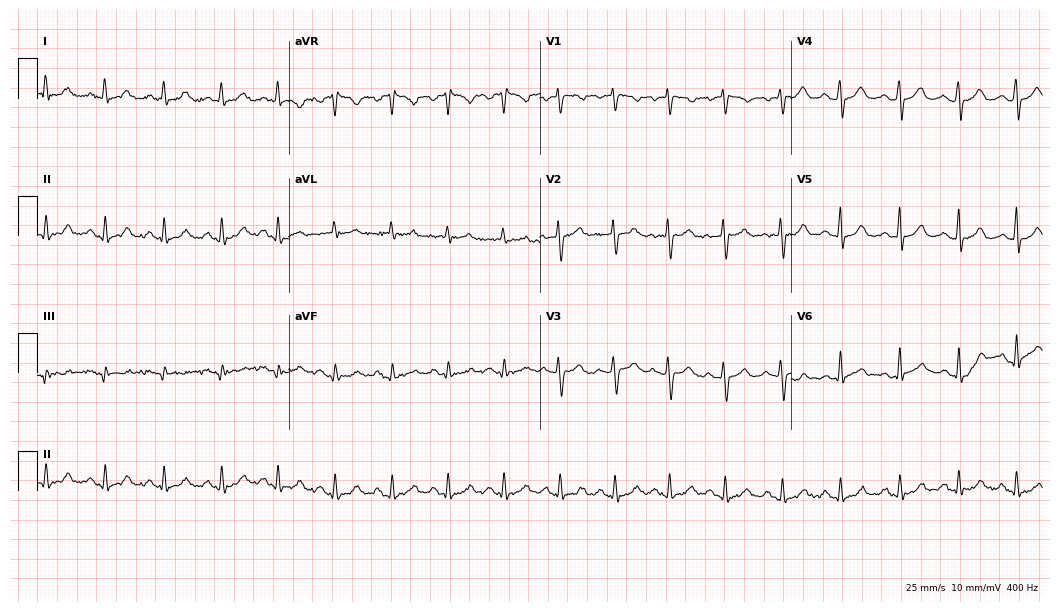
12-lead ECG from a female patient, 38 years old. Screened for six findings — first-degree AV block, right bundle branch block, left bundle branch block, sinus bradycardia, atrial fibrillation, sinus tachycardia — none is recorded. Only these six findings were labelled.